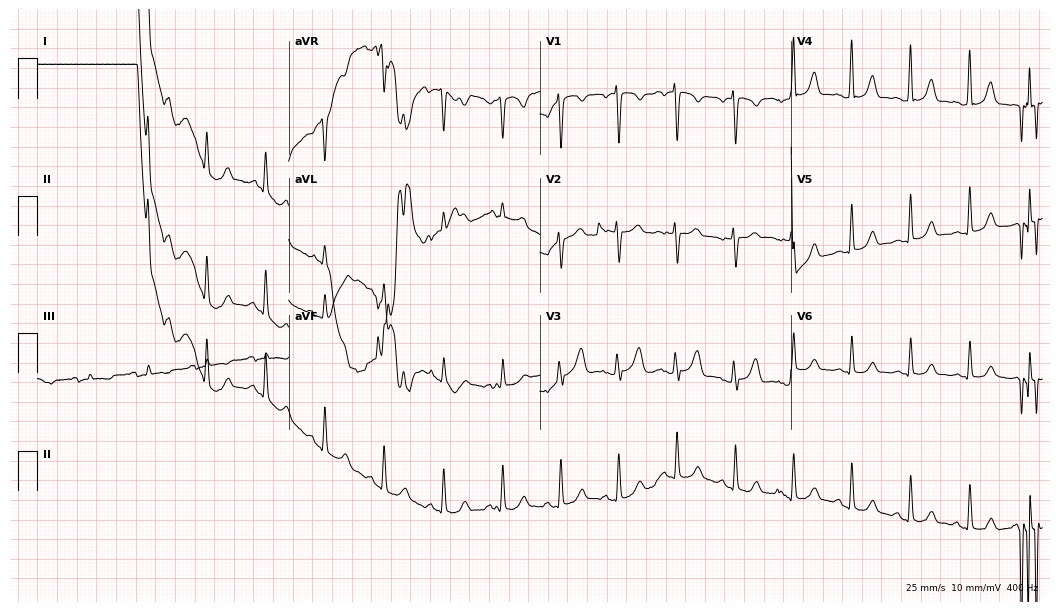
Resting 12-lead electrocardiogram. Patient: a female, 45 years old. Read as a normal ECG.